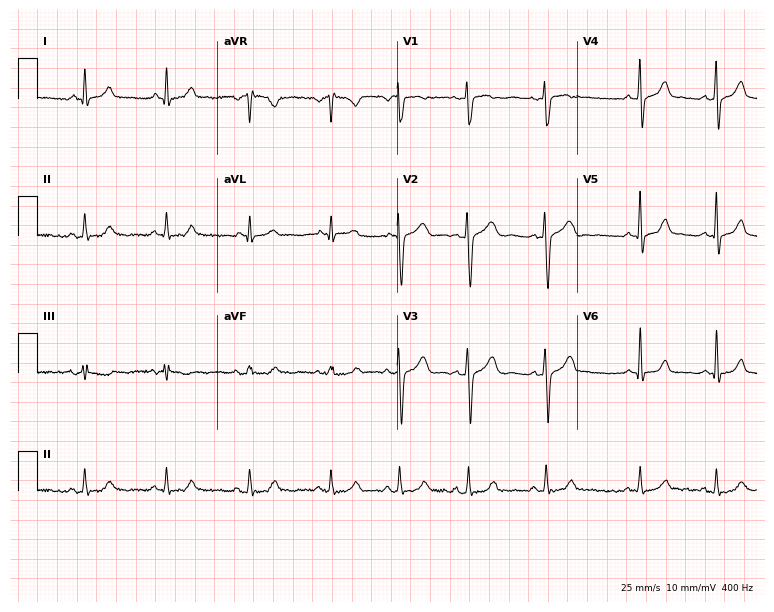
Standard 12-lead ECG recorded from a 30-year-old female patient (7.3-second recording at 400 Hz). None of these six findings is recorded: first-degree AV block, right bundle branch block (RBBB), left bundle branch block (LBBB), sinus bradycardia, atrial fibrillation (AF), sinus tachycardia. Findings outside these six are not listed.